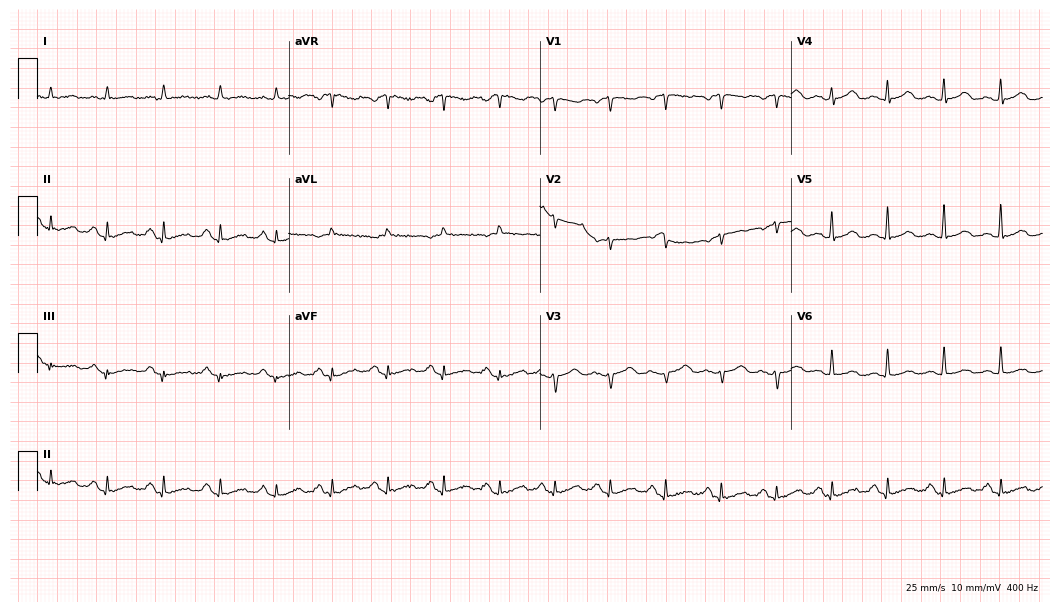
Electrocardiogram, a 59-year-old woman. Interpretation includes sinus tachycardia (a sinus rate of 100 beats per minute or more).